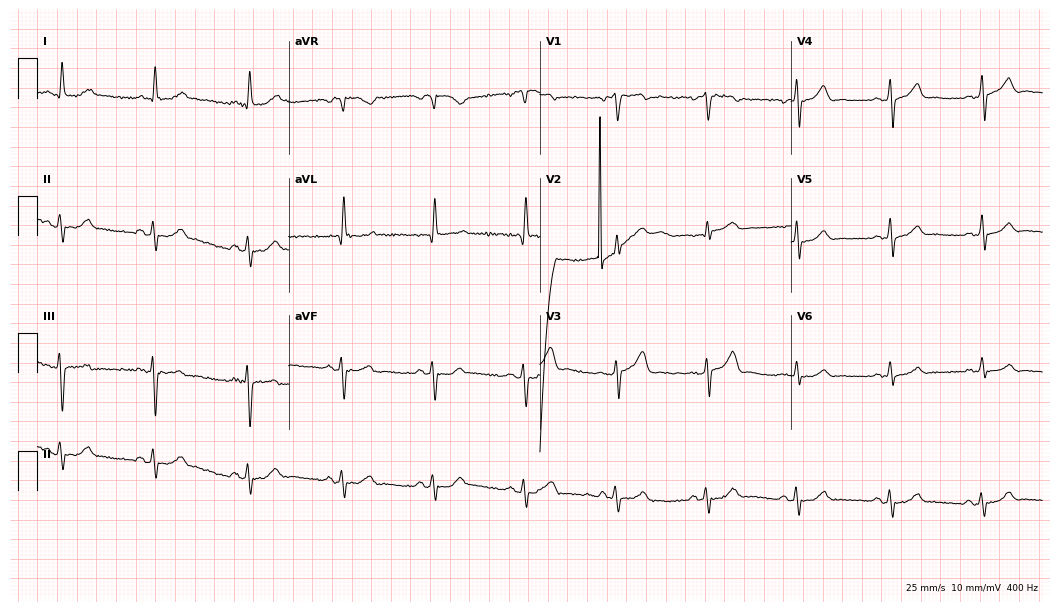
12-lead ECG from a 69-year-old male. Screened for six findings — first-degree AV block, right bundle branch block, left bundle branch block, sinus bradycardia, atrial fibrillation, sinus tachycardia — none is recorded. Findings outside these six are not listed.